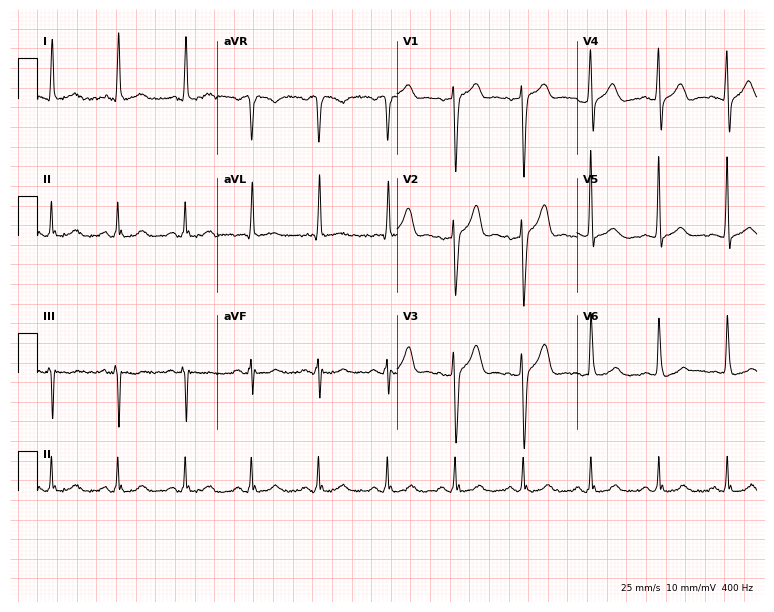
12-lead ECG from a man, 50 years old. Labelled as a normal ECG.